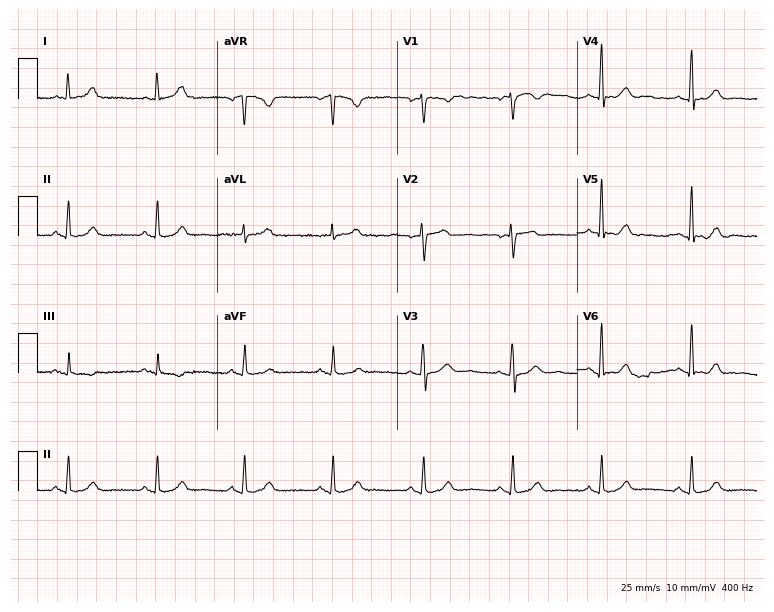
ECG — a 62-year-old female patient. Labelled as a normal ECG.